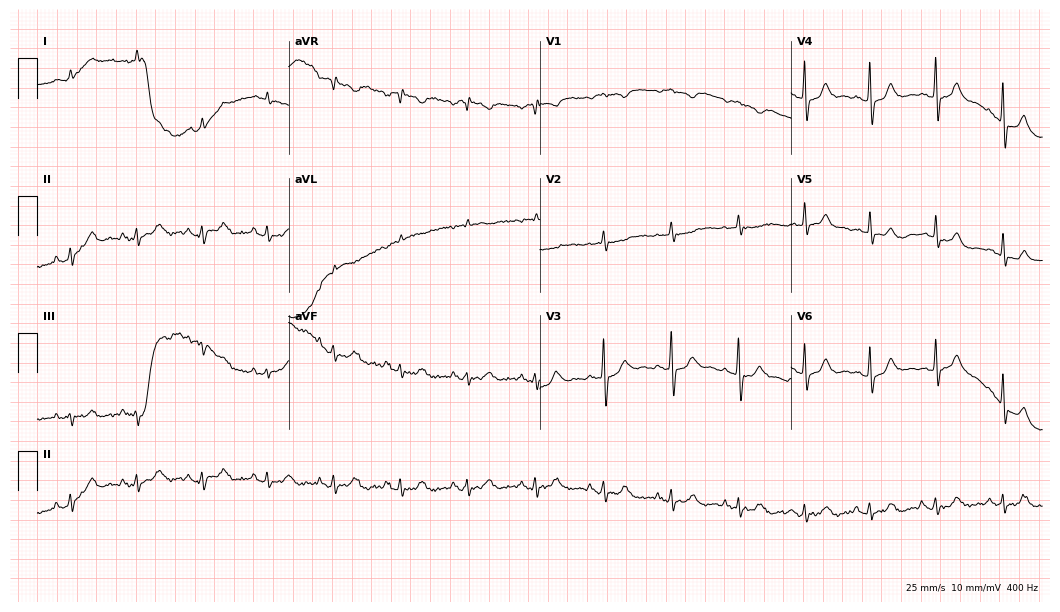
ECG (10.2-second recording at 400 Hz) — a 70-year-old male. Screened for six findings — first-degree AV block, right bundle branch block, left bundle branch block, sinus bradycardia, atrial fibrillation, sinus tachycardia — none is recorded. Other findings, if any, are not listed.